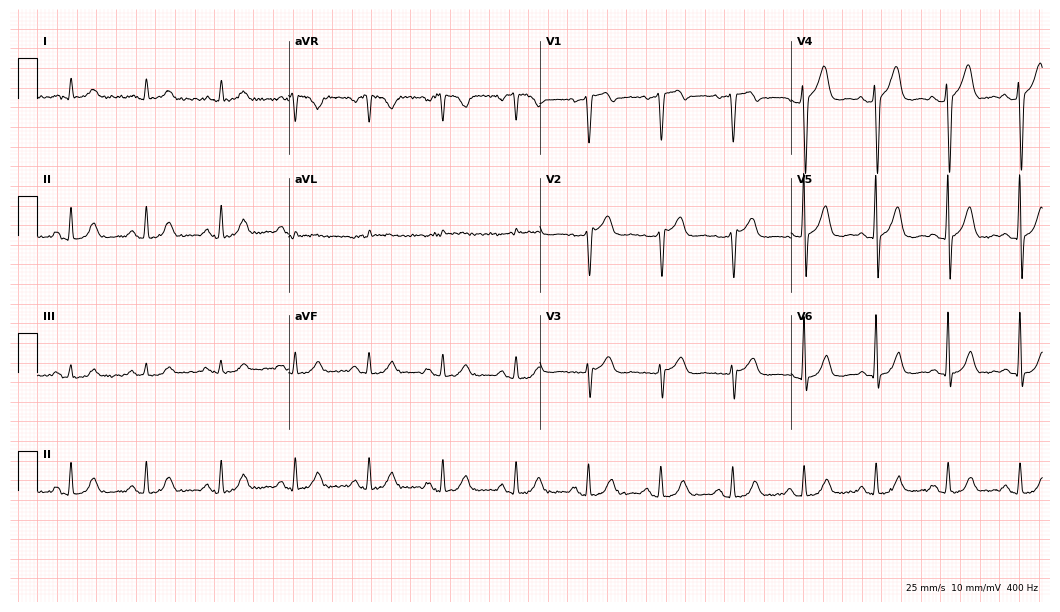
12-lead ECG from a male patient, 78 years old. Screened for six findings — first-degree AV block, right bundle branch block, left bundle branch block, sinus bradycardia, atrial fibrillation, sinus tachycardia — none is recorded. Other findings, if any, are not listed.